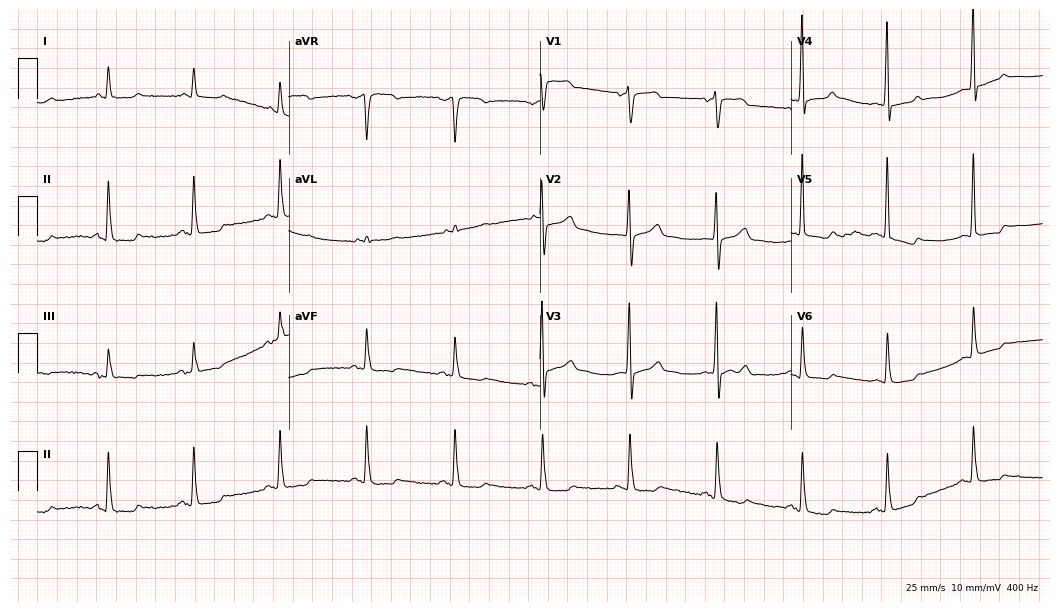
Resting 12-lead electrocardiogram (10.2-second recording at 400 Hz). Patient: a 67-year-old male. None of these six findings is recorded: first-degree AV block, right bundle branch block (RBBB), left bundle branch block (LBBB), sinus bradycardia, atrial fibrillation (AF), sinus tachycardia.